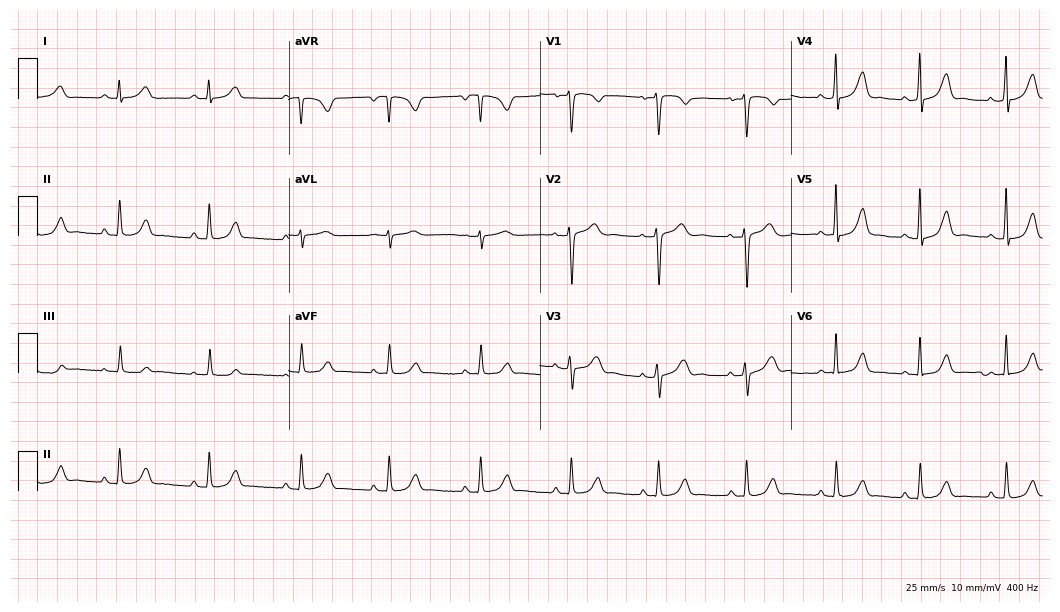
12-lead ECG from a female patient, 36 years old. Labelled as a normal ECG.